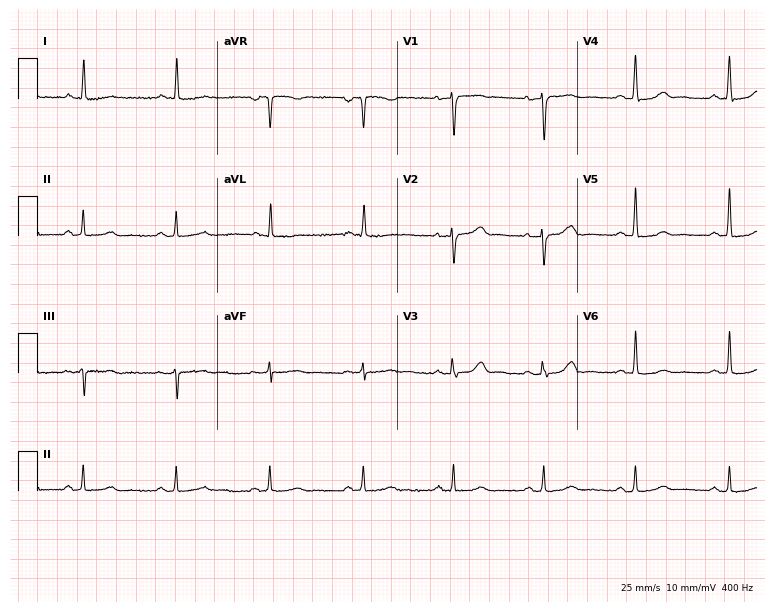
12-lead ECG from a 75-year-old female. Screened for six findings — first-degree AV block, right bundle branch block, left bundle branch block, sinus bradycardia, atrial fibrillation, sinus tachycardia — none is recorded. Only these six findings were labelled.